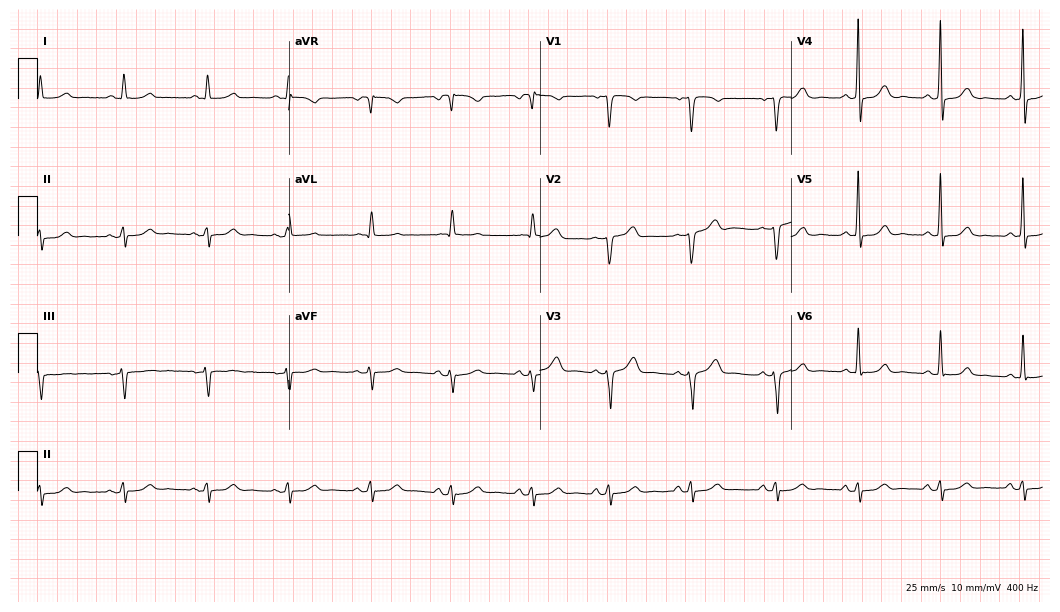
Resting 12-lead electrocardiogram (10.2-second recording at 400 Hz). Patient: a woman, 62 years old. None of these six findings is recorded: first-degree AV block, right bundle branch block, left bundle branch block, sinus bradycardia, atrial fibrillation, sinus tachycardia. Other findings, if any, are not listed.